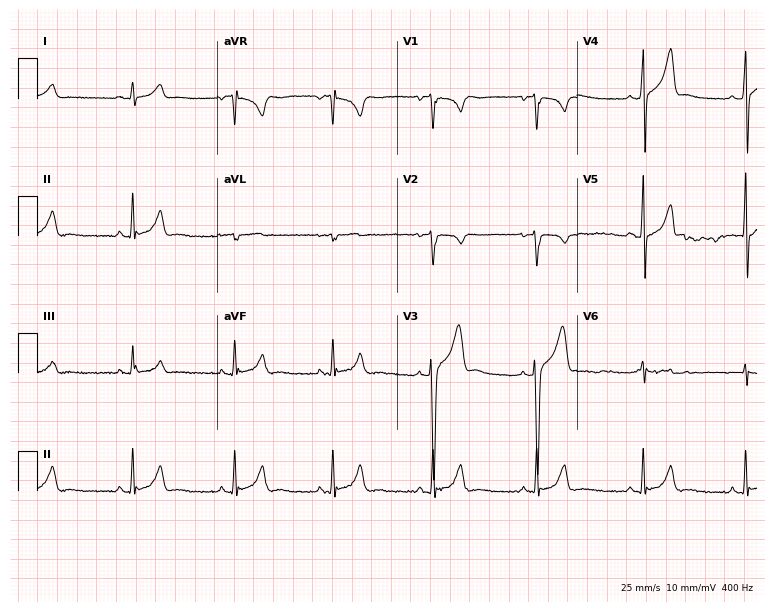
ECG (7.3-second recording at 400 Hz) — a man, 19 years old. Labelled as a normal ECG.